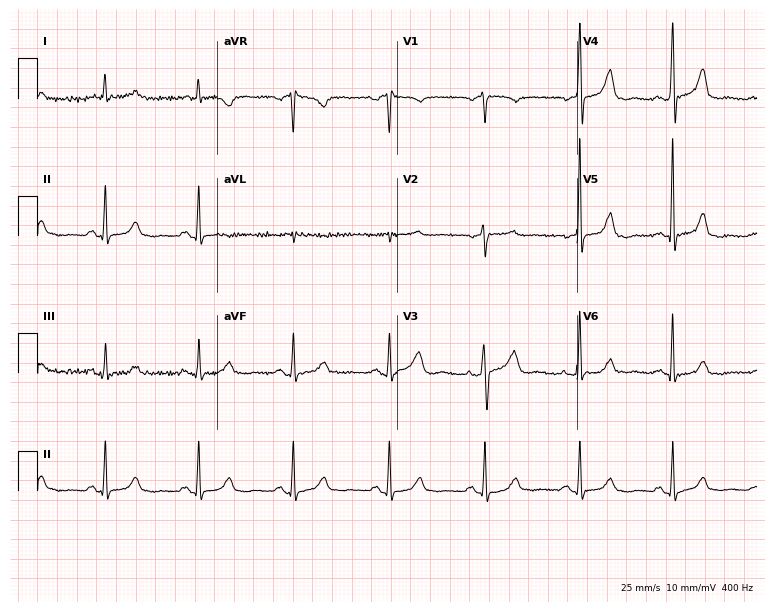
Standard 12-lead ECG recorded from a female patient, 72 years old (7.3-second recording at 400 Hz). None of these six findings is recorded: first-degree AV block, right bundle branch block, left bundle branch block, sinus bradycardia, atrial fibrillation, sinus tachycardia.